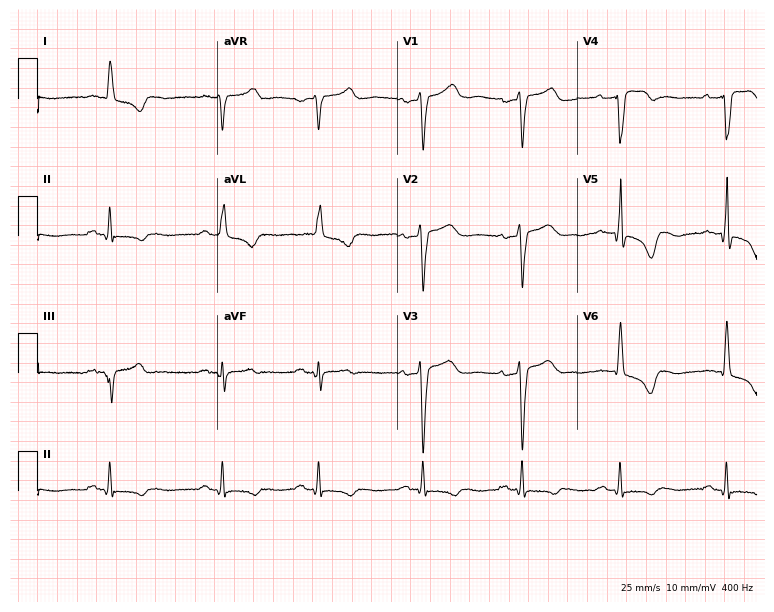
Resting 12-lead electrocardiogram (7.3-second recording at 400 Hz). Patient: a female, 79 years old. None of these six findings is recorded: first-degree AV block, right bundle branch block, left bundle branch block, sinus bradycardia, atrial fibrillation, sinus tachycardia. Only these six findings were labelled.